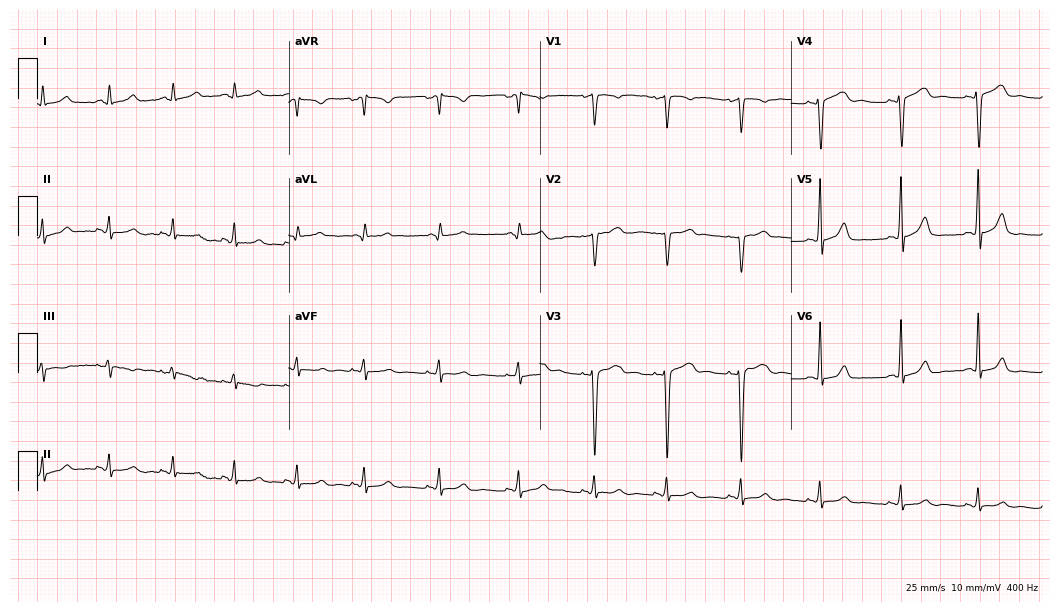
Resting 12-lead electrocardiogram (10.2-second recording at 400 Hz). Patient: a female, 29 years old. None of these six findings is recorded: first-degree AV block, right bundle branch block (RBBB), left bundle branch block (LBBB), sinus bradycardia, atrial fibrillation (AF), sinus tachycardia.